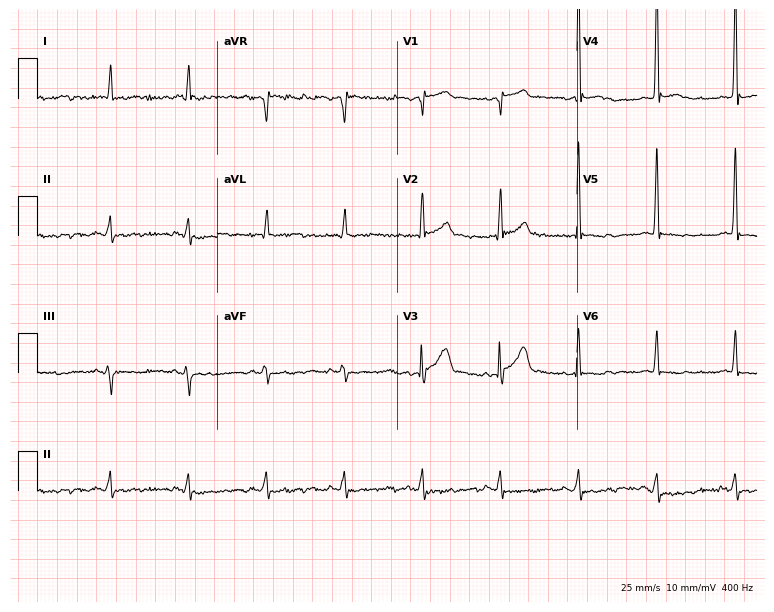
ECG (7.3-second recording at 400 Hz) — a male patient, 73 years old. Screened for six findings — first-degree AV block, right bundle branch block (RBBB), left bundle branch block (LBBB), sinus bradycardia, atrial fibrillation (AF), sinus tachycardia — none is recorded.